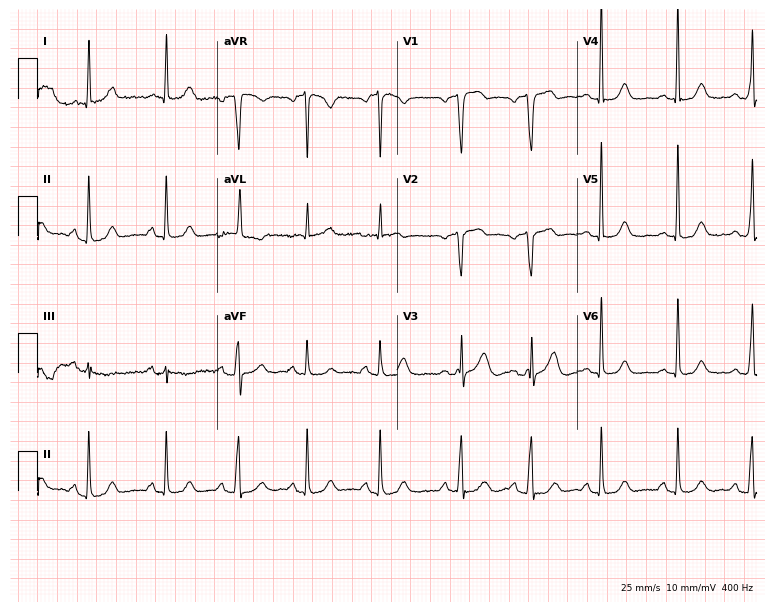
Standard 12-lead ECG recorded from a 76-year-old woman. Read as a normal ECG.